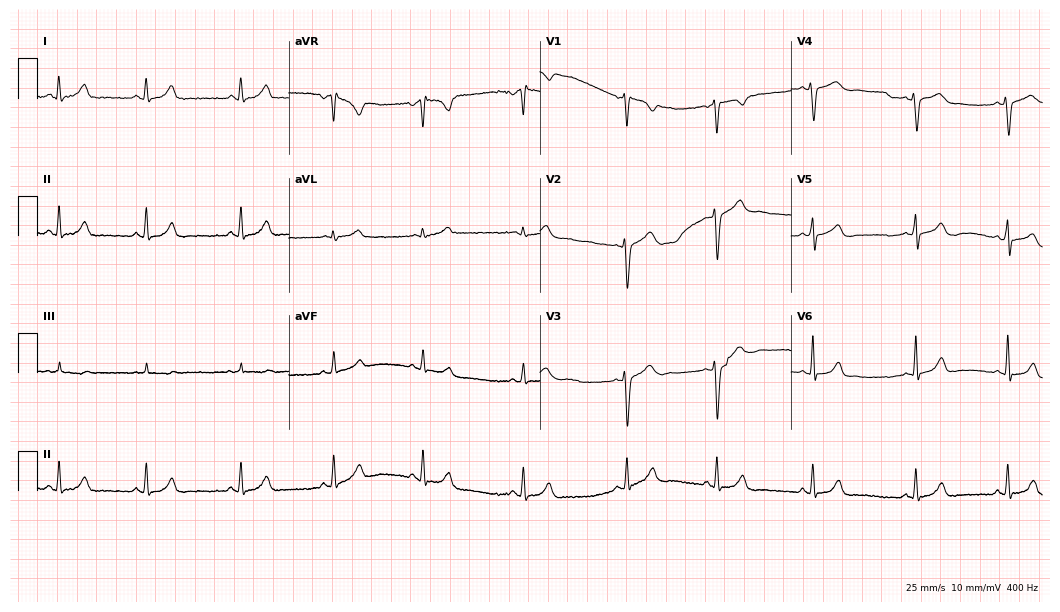
12-lead ECG (10.2-second recording at 400 Hz) from a female patient, 22 years old. Labelled as a normal ECG.